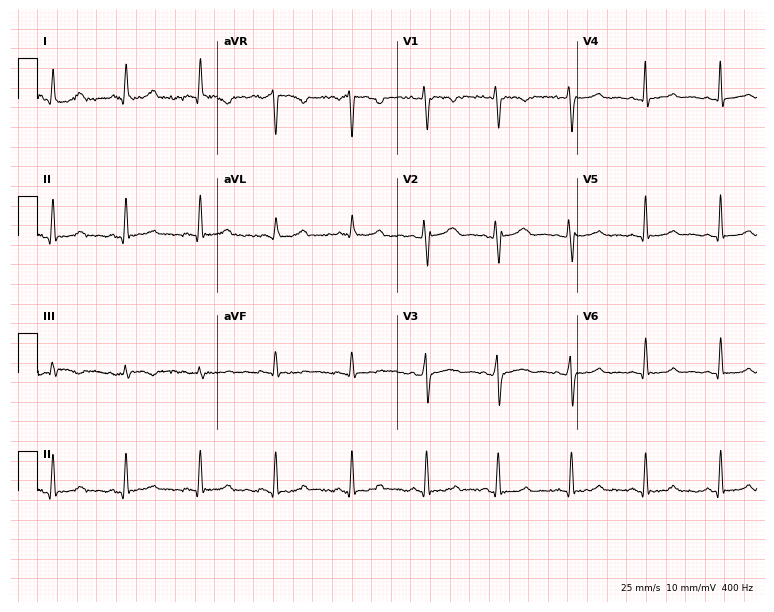
12-lead ECG from a 34-year-old female patient (7.3-second recording at 400 Hz). Recorded interpretation: within normal limits.